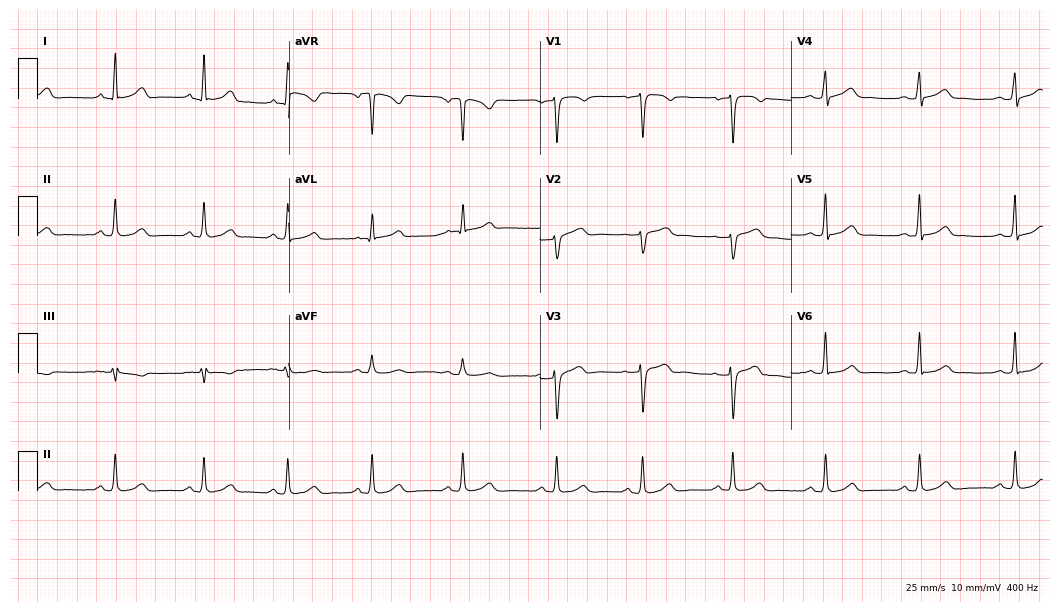
Resting 12-lead electrocardiogram (10.2-second recording at 400 Hz). Patient: a female, 36 years old. Read as a normal ECG.